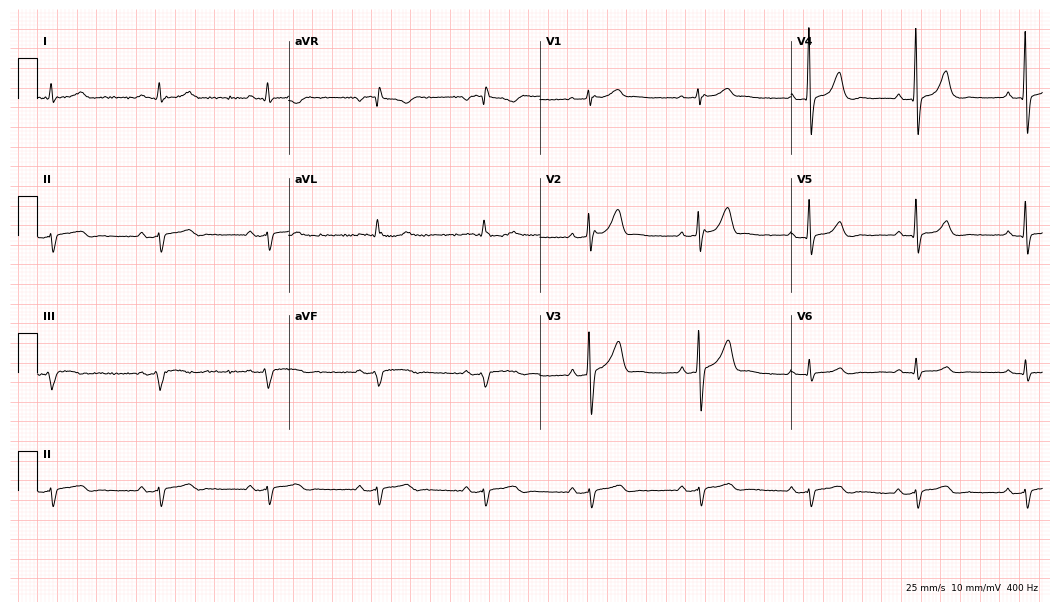
Electrocardiogram, a 63-year-old male patient. Of the six screened findings (first-degree AV block, right bundle branch block (RBBB), left bundle branch block (LBBB), sinus bradycardia, atrial fibrillation (AF), sinus tachycardia), none is recorded.